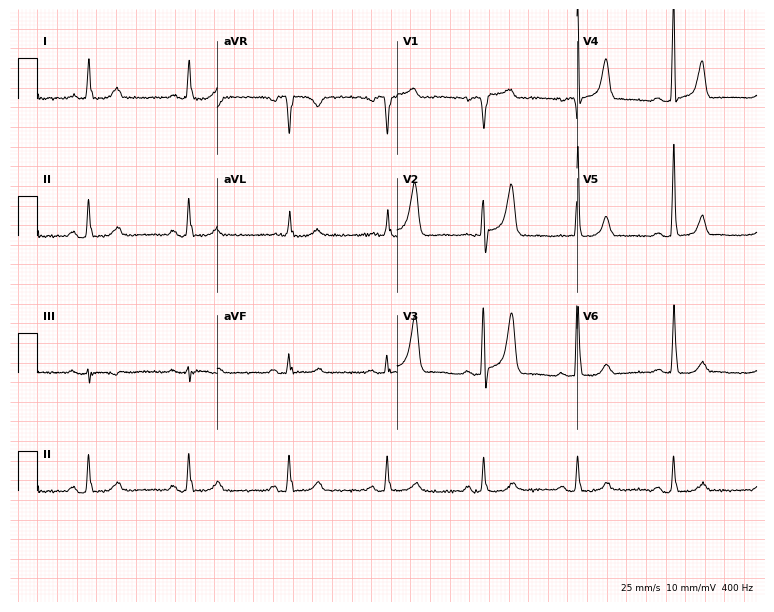
ECG (7.3-second recording at 400 Hz) — a female, 80 years old. Labelled as a normal ECG.